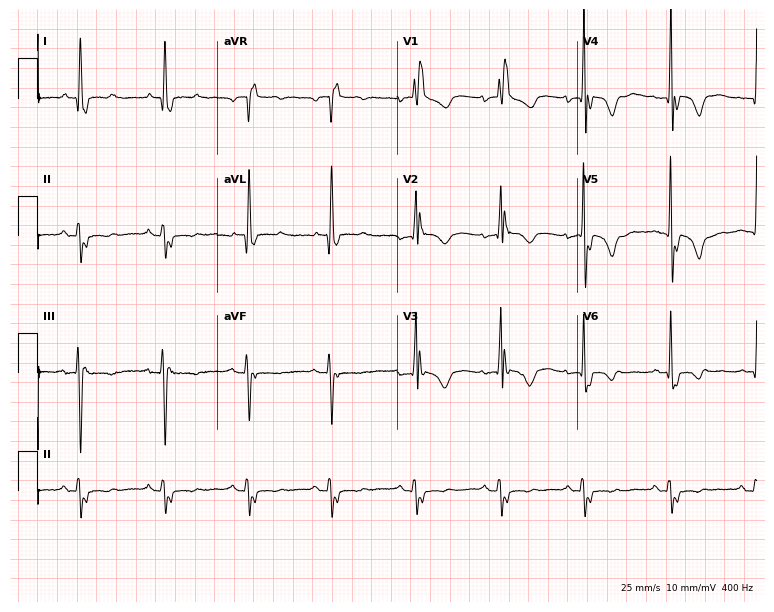
12-lead ECG (7.3-second recording at 400 Hz) from a female, 78 years old. Findings include right bundle branch block (RBBB).